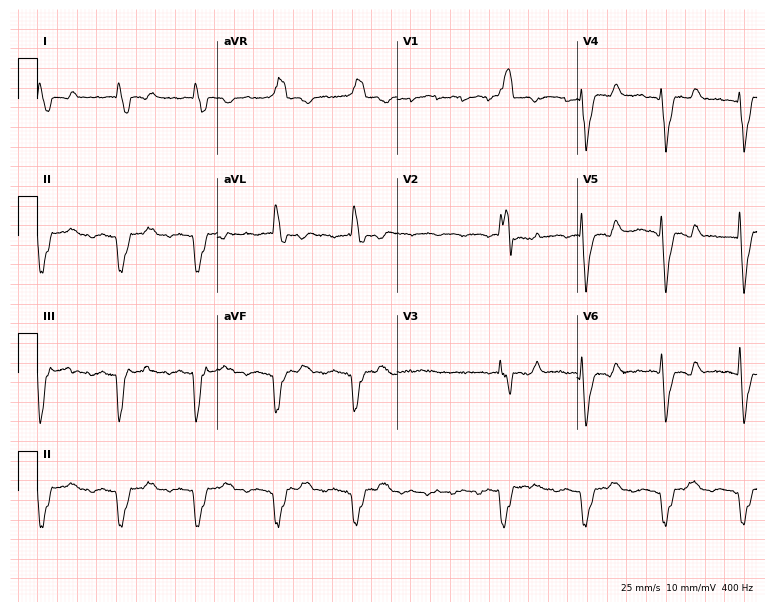
Electrocardiogram (7.3-second recording at 400 Hz), a 65-year-old male. Interpretation includes right bundle branch block, atrial fibrillation.